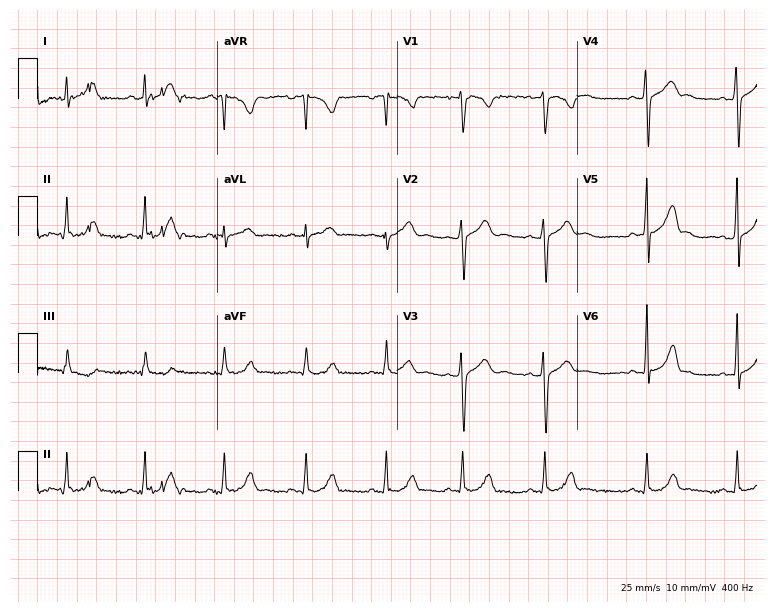
12-lead ECG from a 22-year-old woman. Screened for six findings — first-degree AV block, right bundle branch block (RBBB), left bundle branch block (LBBB), sinus bradycardia, atrial fibrillation (AF), sinus tachycardia — none is recorded.